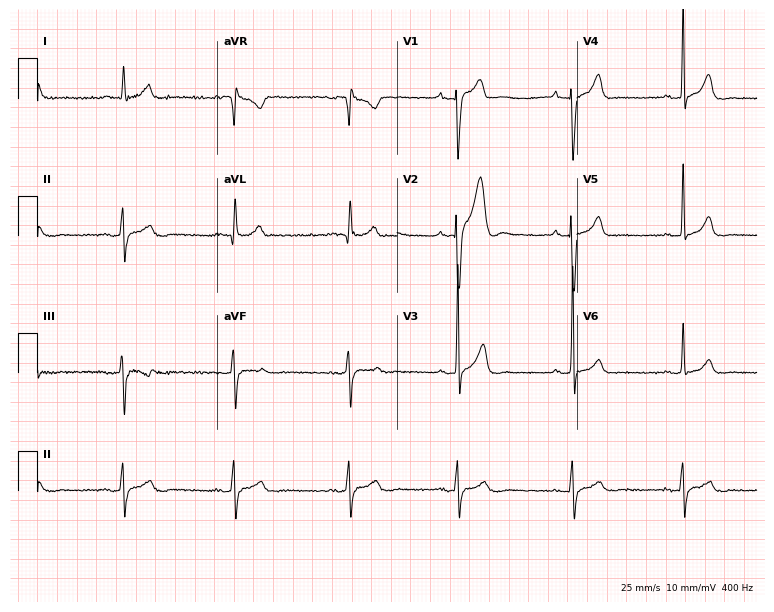
Resting 12-lead electrocardiogram (7.3-second recording at 400 Hz). Patient: a 45-year-old man. None of these six findings is recorded: first-degree AV block, right bundle branch block, left bundle branch block, sinus bradycardia, atrial fibrillation, sinus tachycardia. Findings outside these six are not listed.